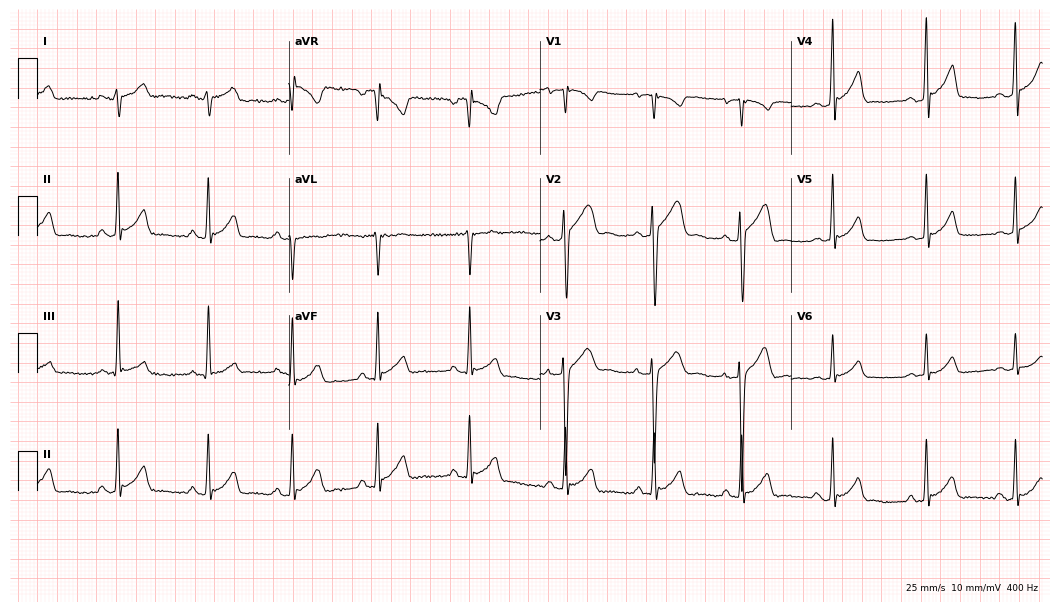
12-lead ECG from a 17-year-old male (10.2-second recording at 400 Hz). Recorded interpretation: within normal limits.